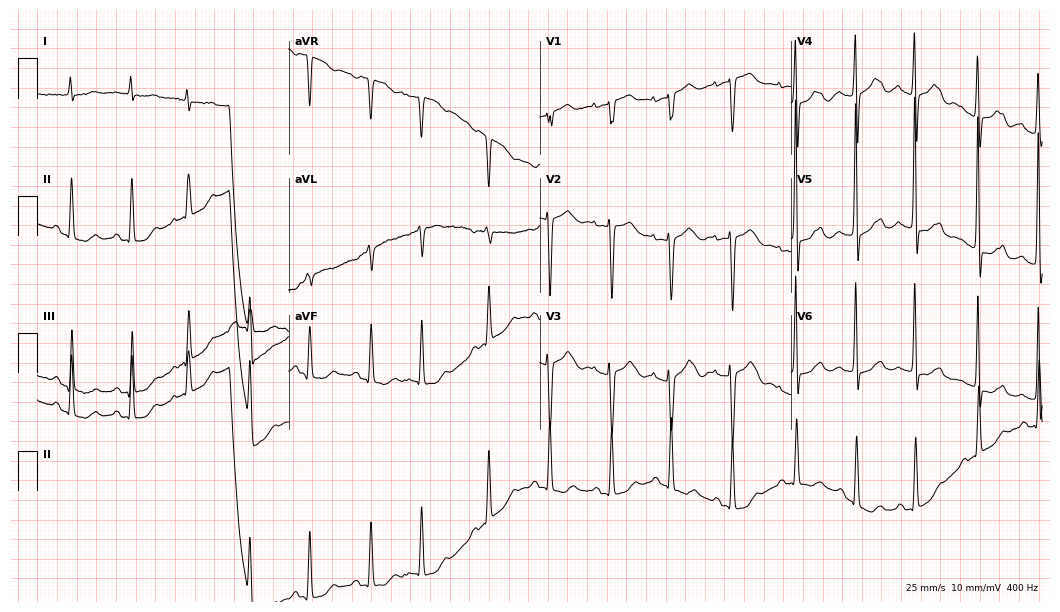
Standard 12-lead ECG recorded from an 85-year-old female patient (10.2-second recording at 400 Hz). None of these six findings is recorded: first-degree AV block, right bundle branch block (RBBB), left bundle branch block (LBBB), sinus bradycardia, atrial fibrillation (AF), sinus tachycardia.